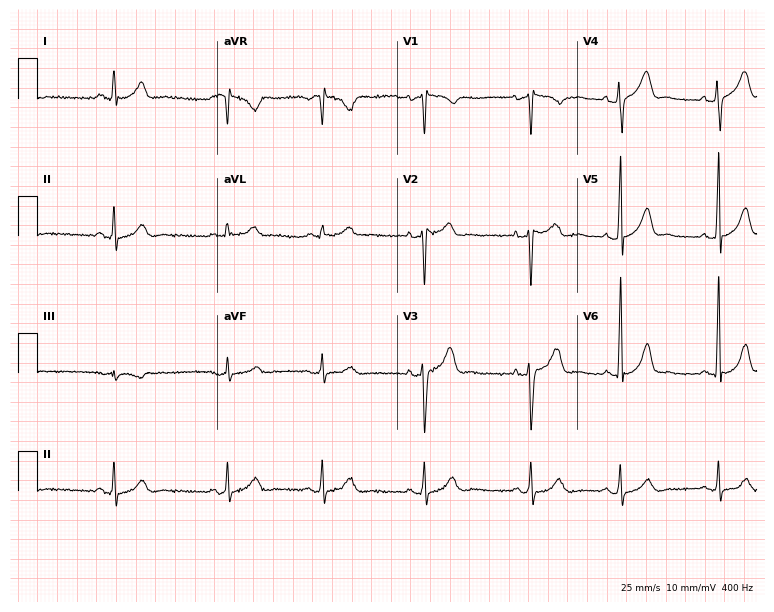
12-lead ECG (7.3-second recording at 400 Hz) from a male, 43 years old. Labelled as a normal ECG.